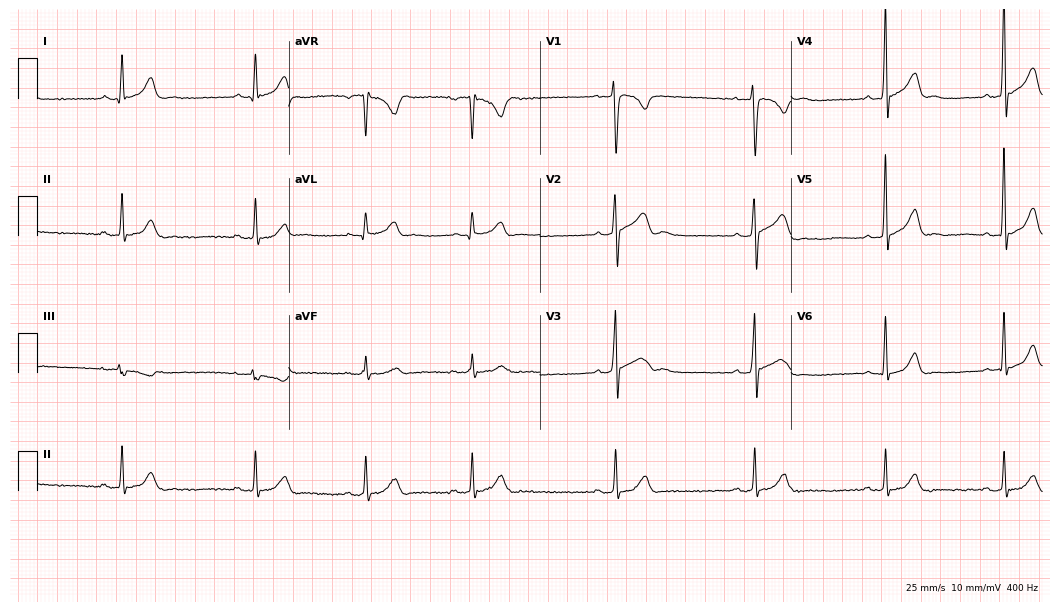
Resting 12-lead electrocardiogram (10.2-second recording at 400 Hz). Patient: a man, 23 years old. The tracing shows sinus bradycardia (a sinus rate of 50 beats per minute or less).